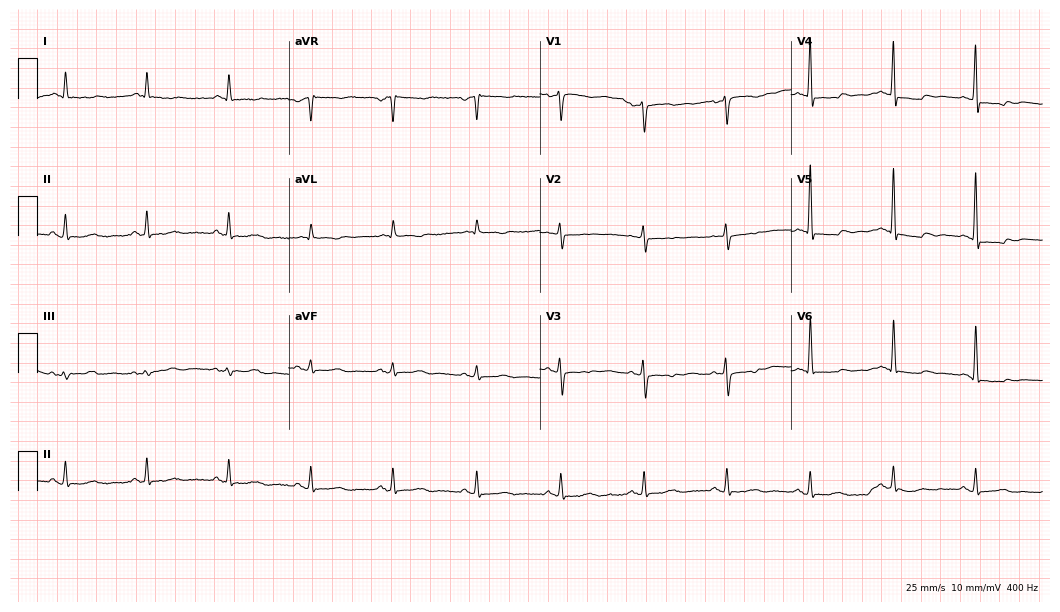
12-lead ECG from a female, 77 years old. No first-degree AV block, right bundle branch block, left bundle branch block, sinus bradycardia, atrial fibrillation or sinus tachycardia recorded for this tracing. Other findings, if any, are not listed.